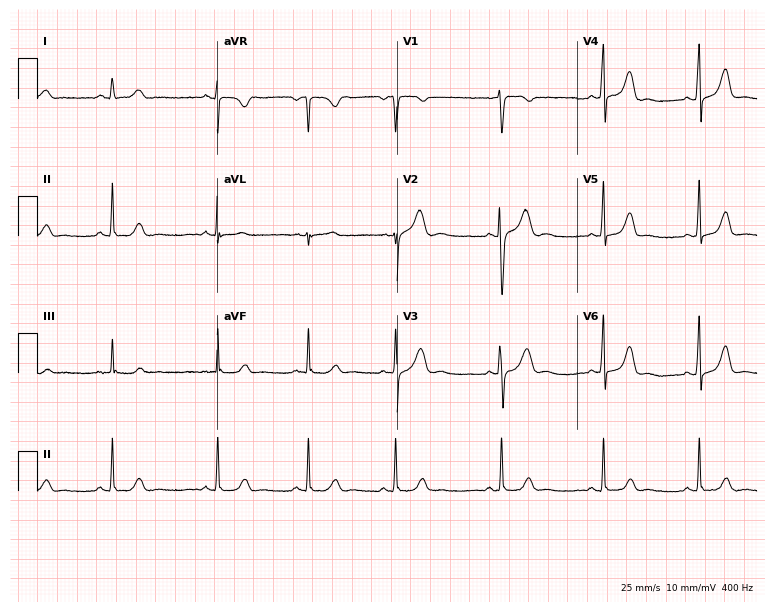
Resting 12-lead electrocardiogram. Patient: a 21-year-old female. Read as a normal ECG.